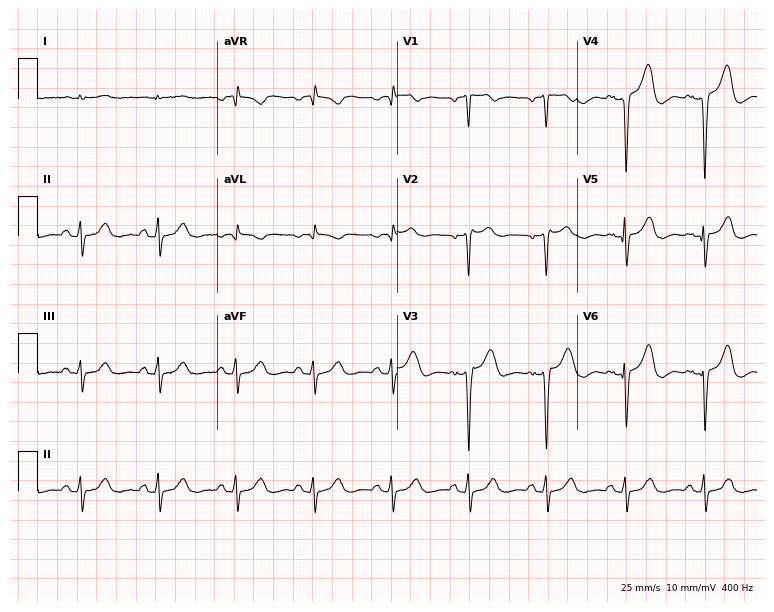
12-lead ECG from a 71-year-old male. Screened for six findings — first-degree AV block, right bundle branch block, left bundle branch block, sinus bradycardia, atrial fibrillation, sinus tachycardia — none is recorded. Findings outside these six are not listed.